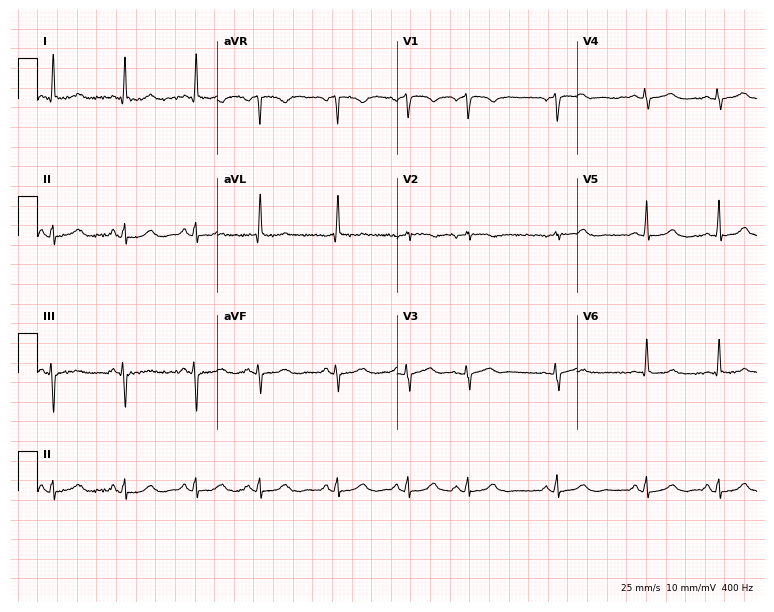
ECG (7.3-second recording at 400 Hz) — a female, 71 years old. Screened for six findings — first-degree AV block, right bundle branch block, left bundle branch block, sinus bradycardia, atrial fibrillation, sinus tachycardia — none is recorded. Other findings, if any, are not listed.